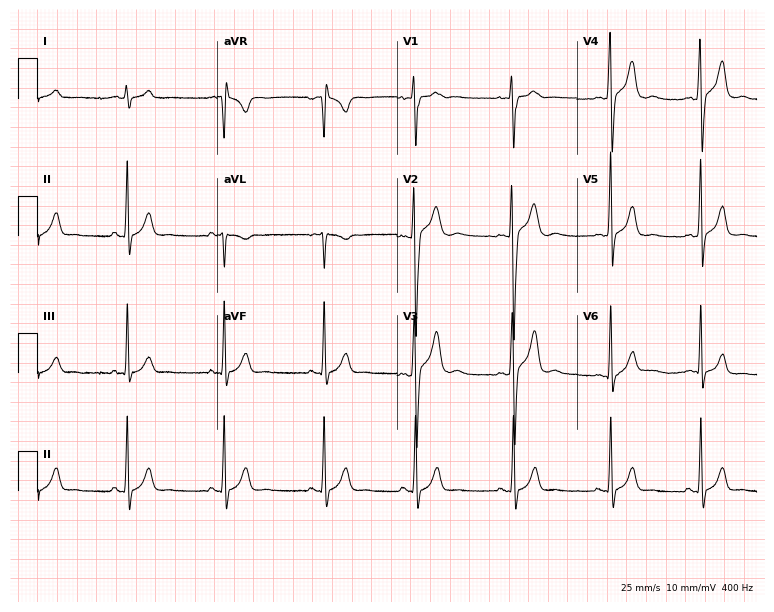
Standard 12-lead ECG recorded from a male, 19 years old (7.3-second recording at 400 Hz). Read as a normal ECG.